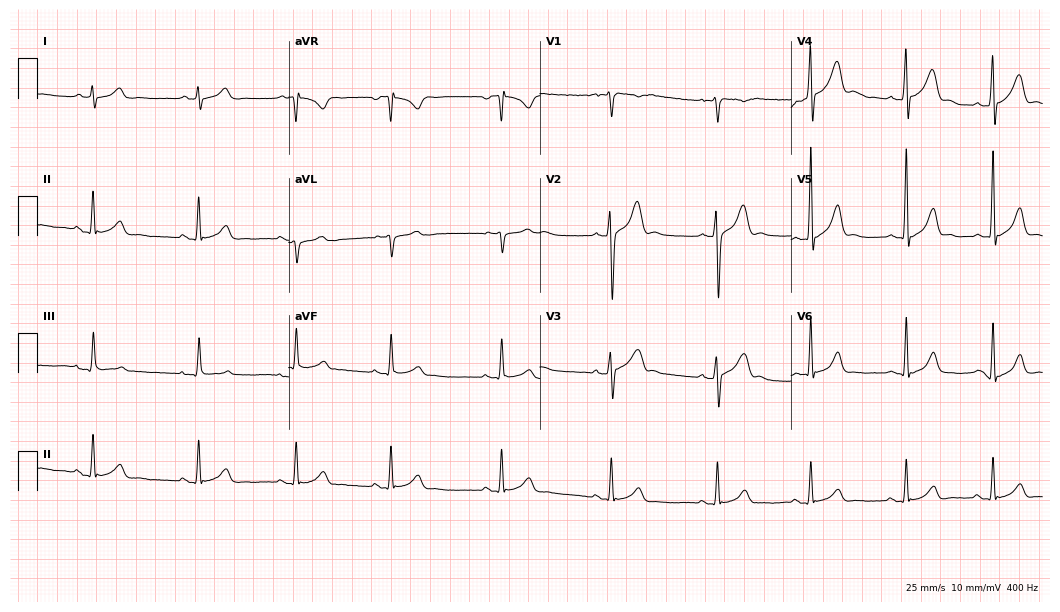
Electrocardiogram, a 21-year-old man. Overall reading on record: normal ECG.